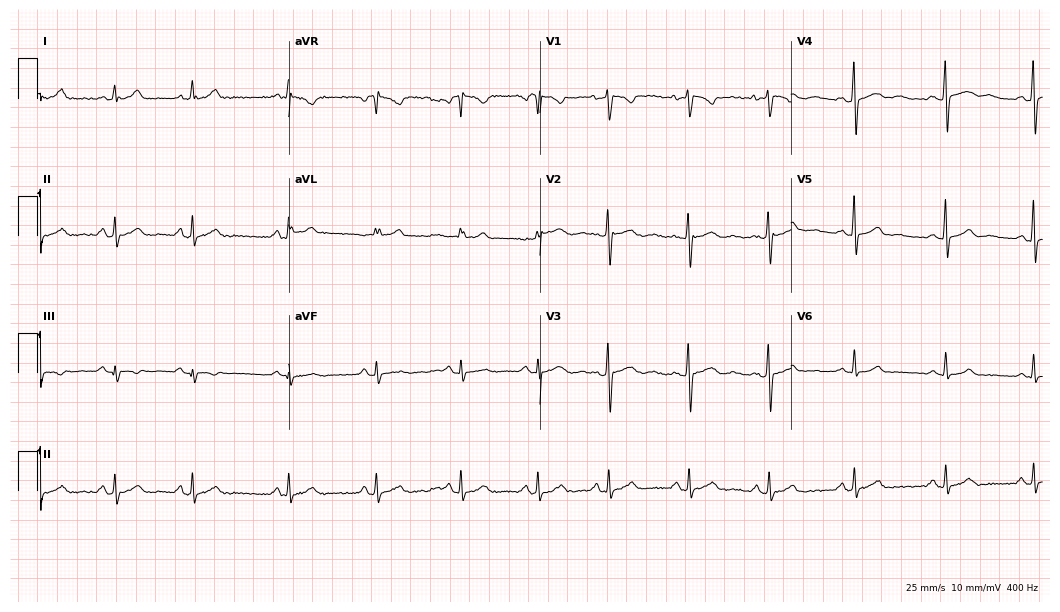
12-lead ECG (10.2-second recording at 400 Hz) from a 40-year-old female. Labelled as a normal ECG.